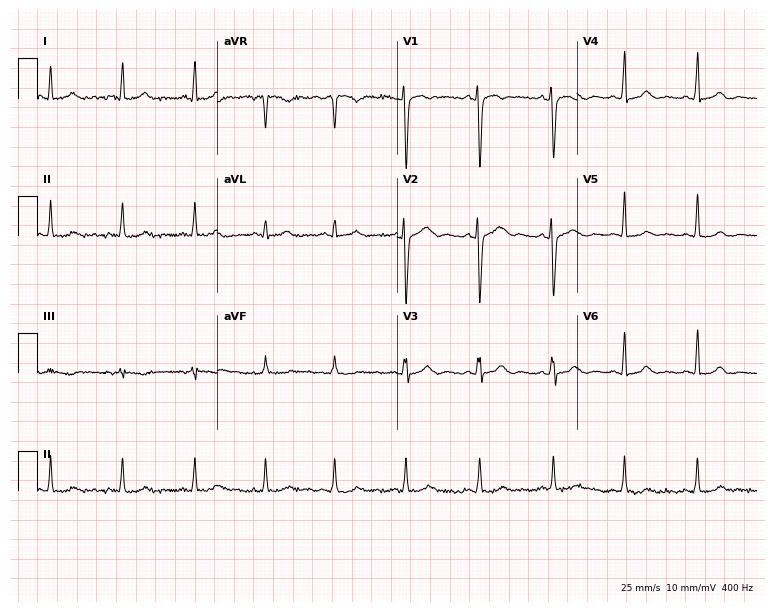
12-lead ECG from a 43-year-old female (7.3-second recording at 400 Hz). No first-degree AV block, right bundle branch block, left bundle branch block, sinus bradycardia, atrial fibrillation or sinus tachycardia recorded for this tracing. Other findings, if any, are not listed.